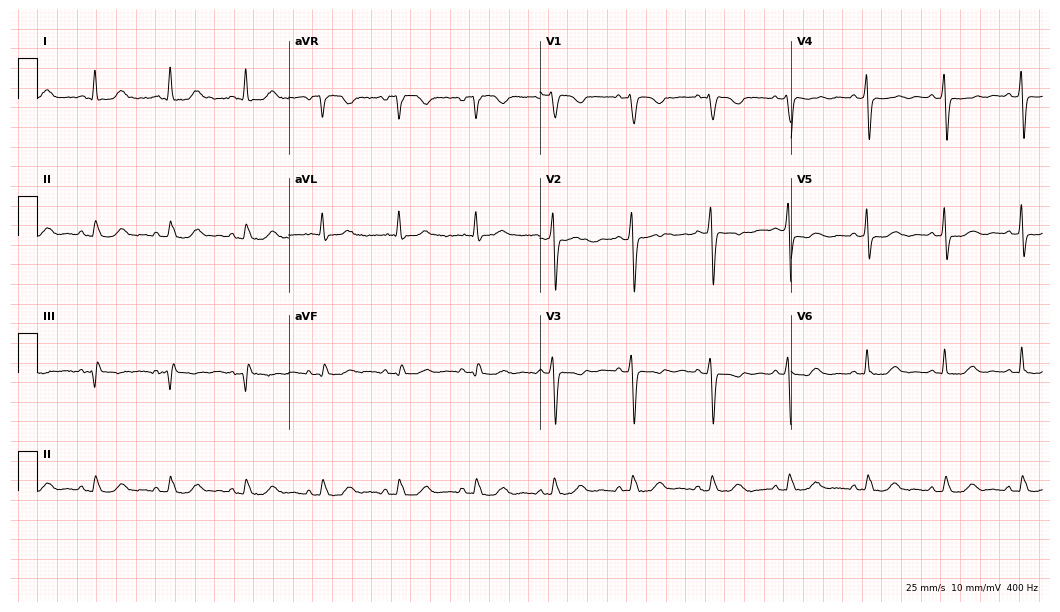
12-lead ECG from a woman, 58 years old. No first-degree AV block, right bundle branch block (RBBB), left bundle branch block (LBBB), sinus bradycardia, atrial fibrillation (AF) or sinus tachycardia recorded for this tracing. Other findings, if any, are not listed.